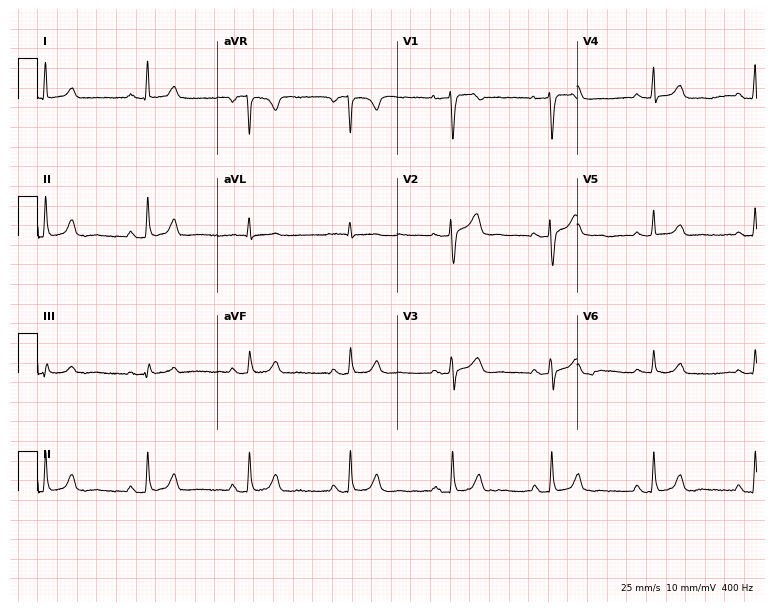
Resting 12-lead electrocardiogram. Patient: a 53-year-old woman. Read as a normal ECG.